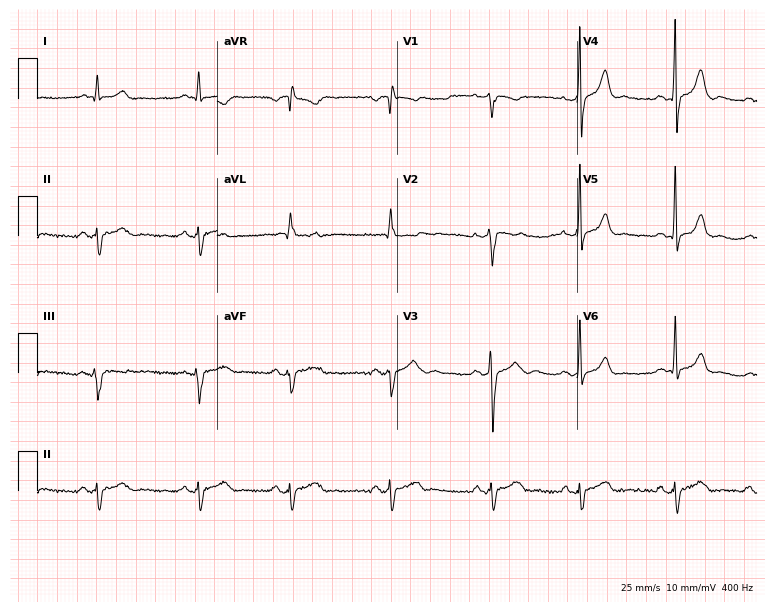
Electrocardiogram, a 22-year-old male patient. Of the six screened findings (first-degree AV block, right bundle branch block, left bundle branch block, sinus bradycardia, atrial fibrillation, sinus tachycardia), none is recorded.